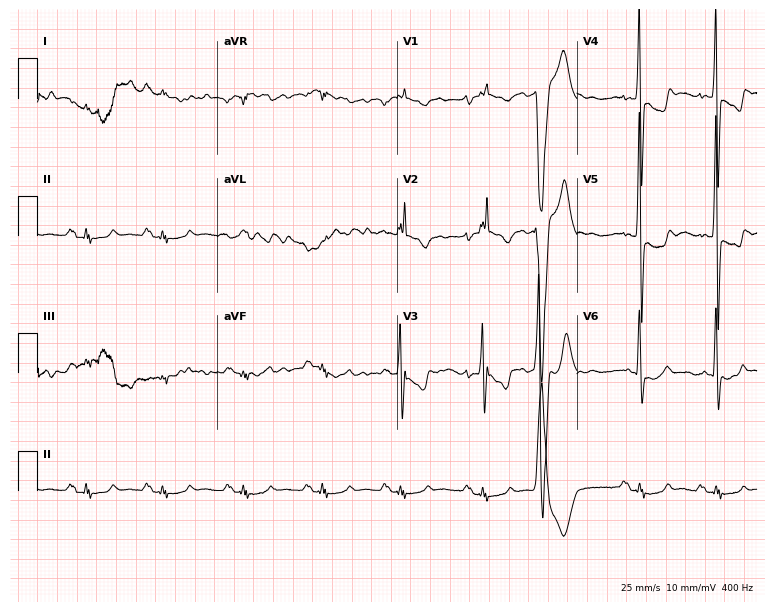
12-lead ECG (7.3-second recording at 400 Hz) from a 54-year-old male. Screened for six findings — first-degree AV block, right bundle branch block (RBBB), left bundle branch block (LBBB), sinus bradycardia, atrial fibrillation (AF), sinus tachycardia — none is recorded. Other findings, if any, are not listed.